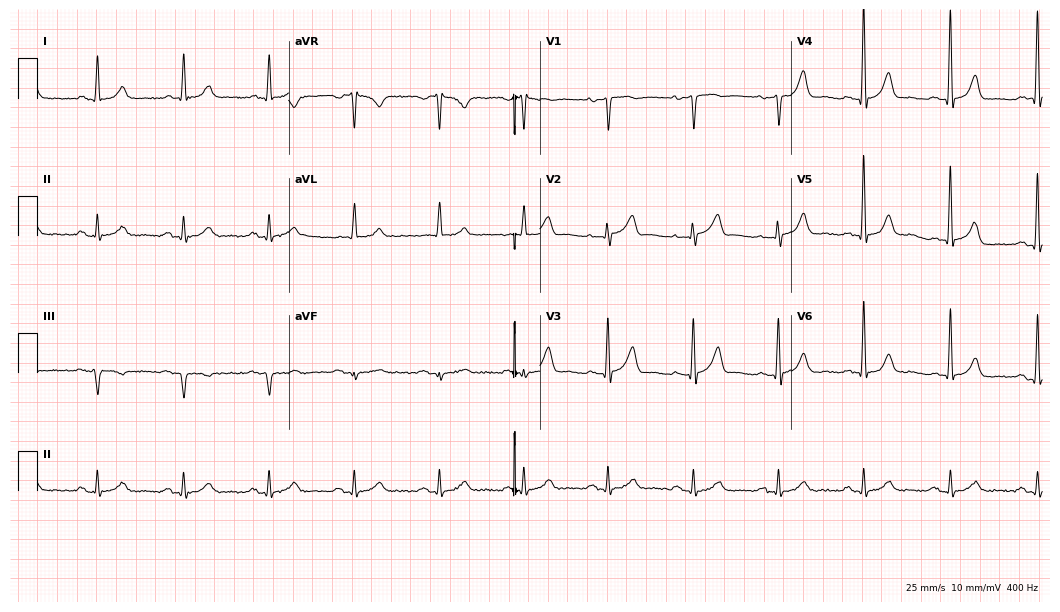
Electrocardiogram (10.2-second recording at 400 Hz), a 70-year-old male. Overall reading on record: normal ECG.